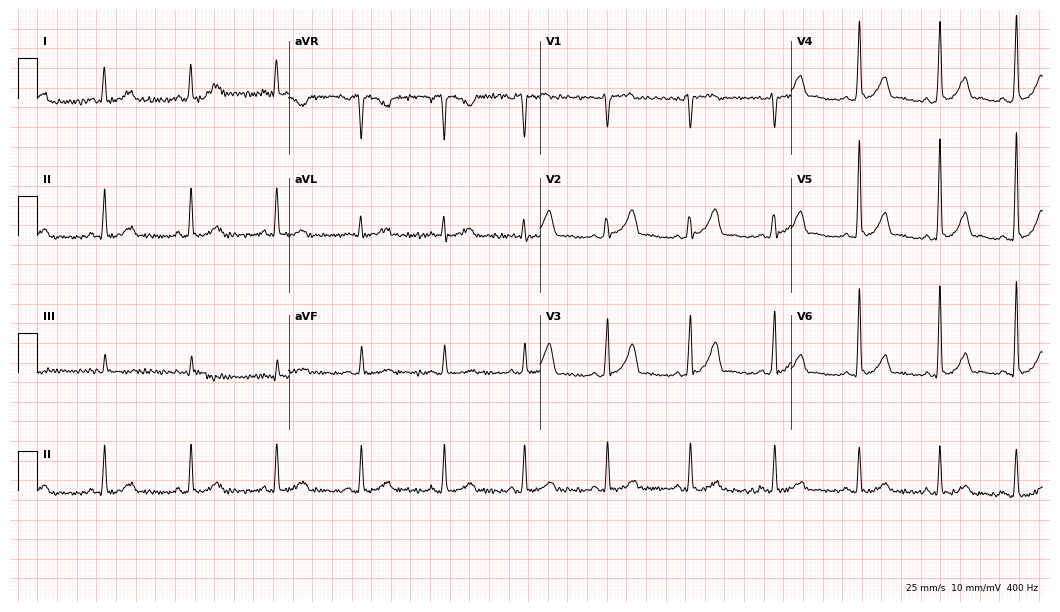
12-lead ECG from a 43-year-old male patient. Labelled as a normal ECG.